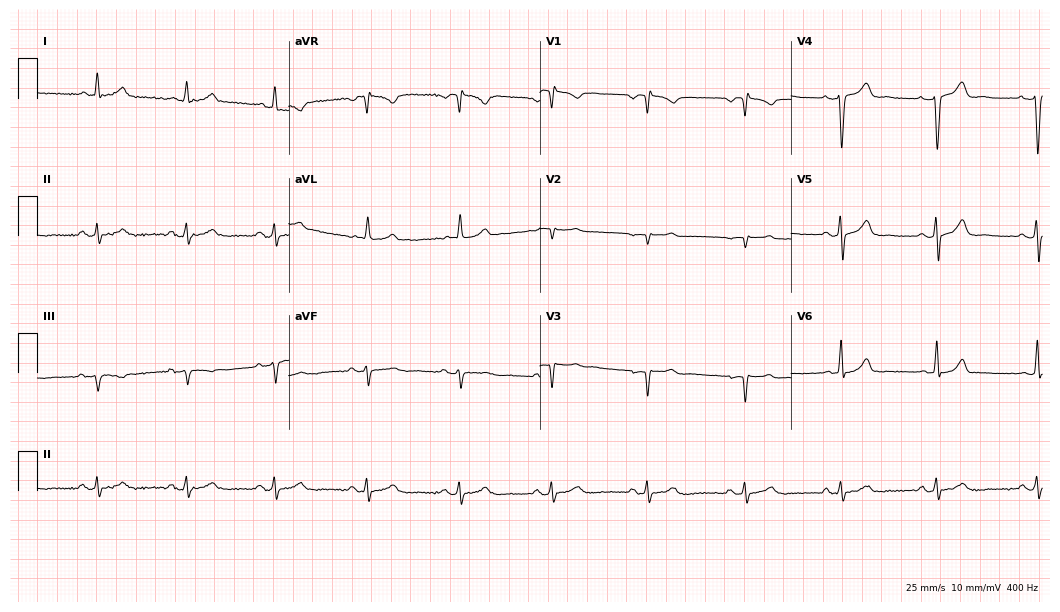
12-lead ECG from a 47-year-old male. No first-degree AV block, right bundle branch block, left bundle branch block, sinus bradycardia, atrial fibrillation or sinus tachycardia recorded for this tracing.